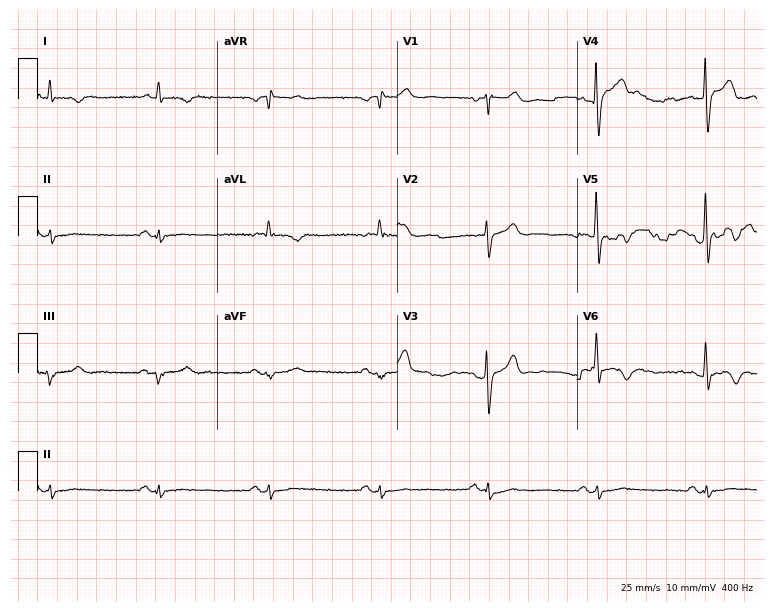
Electrocardiogram, a man, 73 years old. Of the six screened findings (first-degree AV block, right bundle branch block, left bundle branch block, sinus bradycardia, atrial fibrillation, sinus tachycardia), none is recorded.